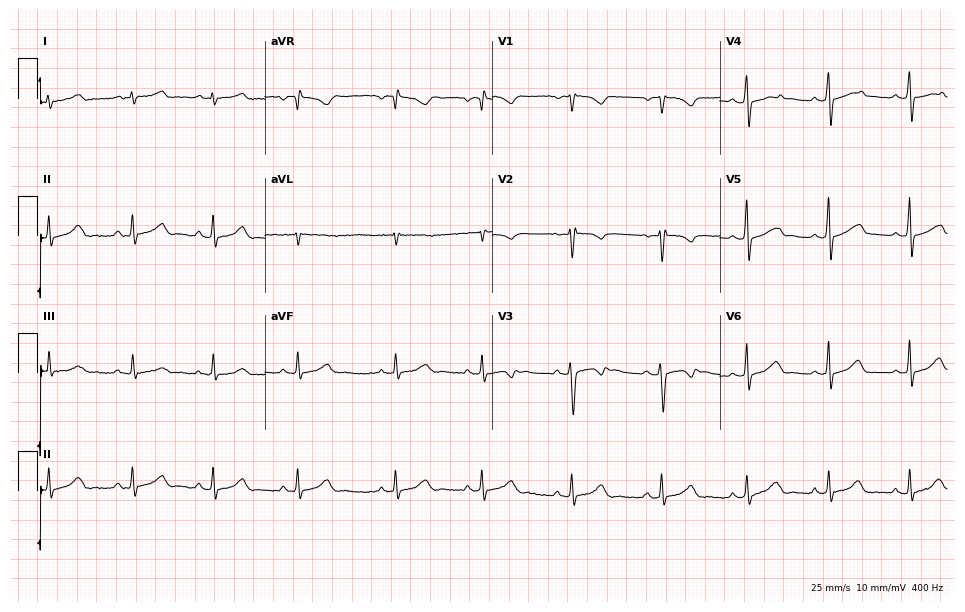
ECG — a female patient, 28 years old. Screened for six findings — first-degree AV block, right bundle branch block, left bundle branch block, sinus bradycardia, atrial fibrillation, sinus tachycardia — none is recorded.